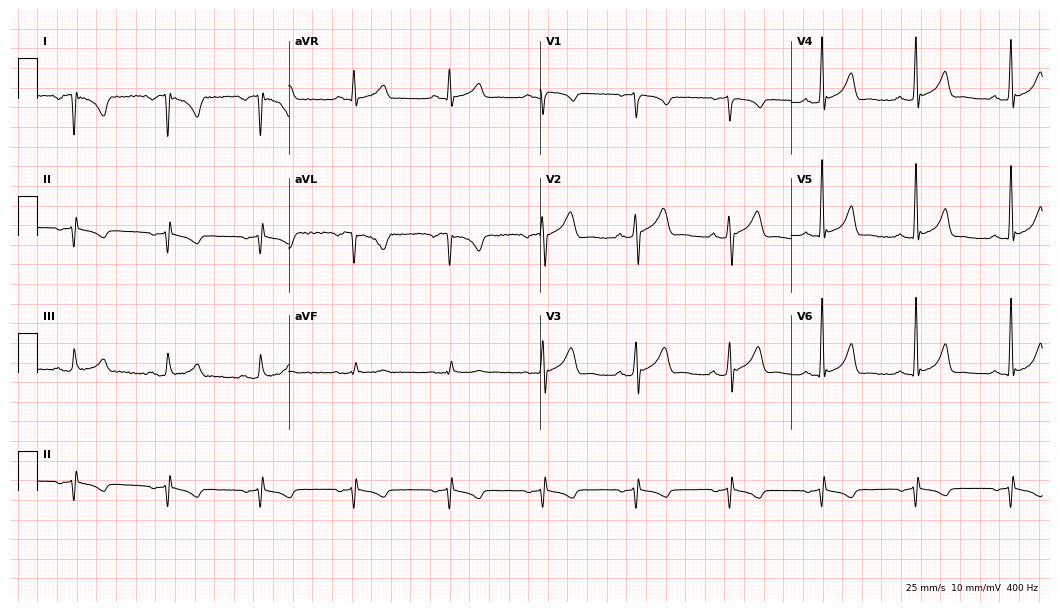
12-lead ECG from a 37-year-old male patient. Screened for six findings — first-degree AV block, right bundle branch block (RBBB), left bundle branch block (LBBB), sinus bradycardia, atrial fibrillation (AF), sinus tachycardia — none is recorded.